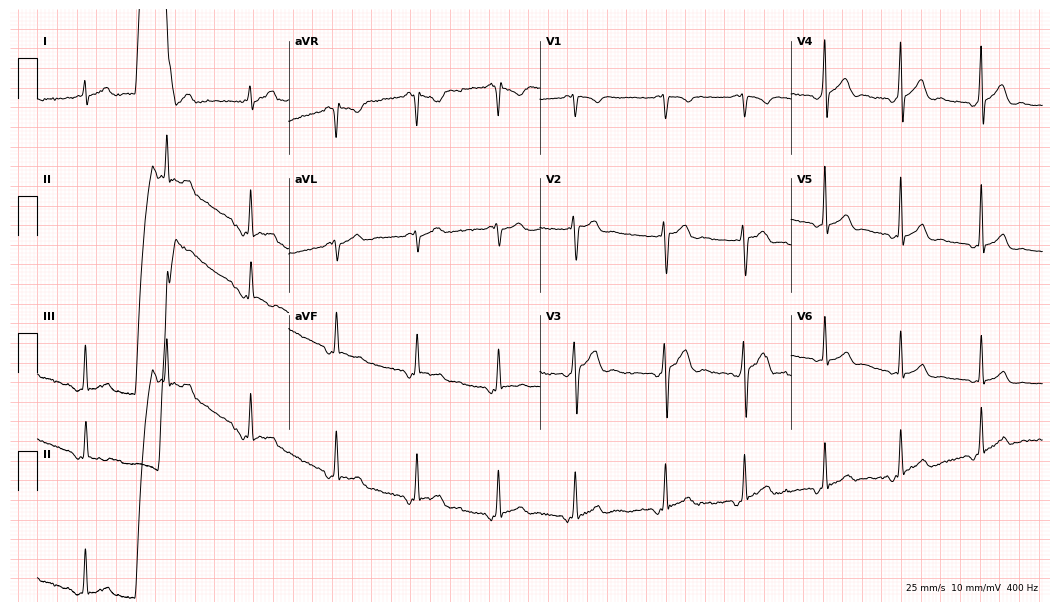
12-lead ECG from a 24-year-old male patient (10.2-second recording at 400 Hz). No first-degree AV block, right bundle branch block, left bundle branch block, sinus bradycardia, atrial fibrillation or sinus tachycardia recorded for this tracing.